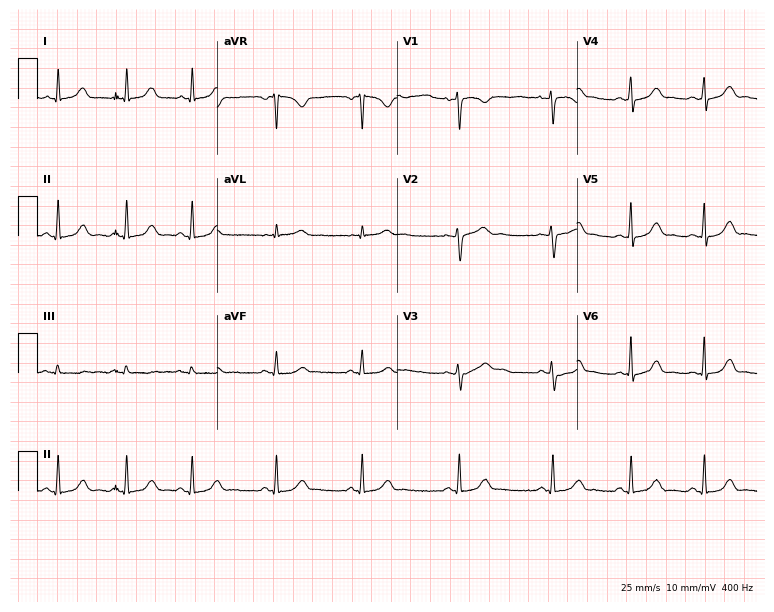
Electrocardiogram, a 26-year-old female patient. Of the six screened findings (first-degree AV block, right bundle branch block, left bundle branch block, sinus bradycardia, atrial fibrillation, sinus tachycardia), none is recorded. Only these six findings were labelled.